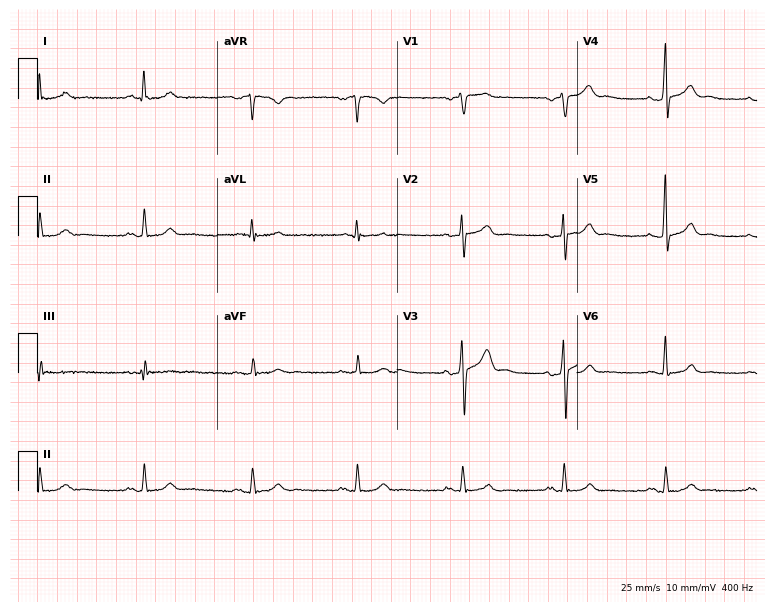
12-lead ECG from a male patient, 42 years old. Recorded interpretation: within normal limits.